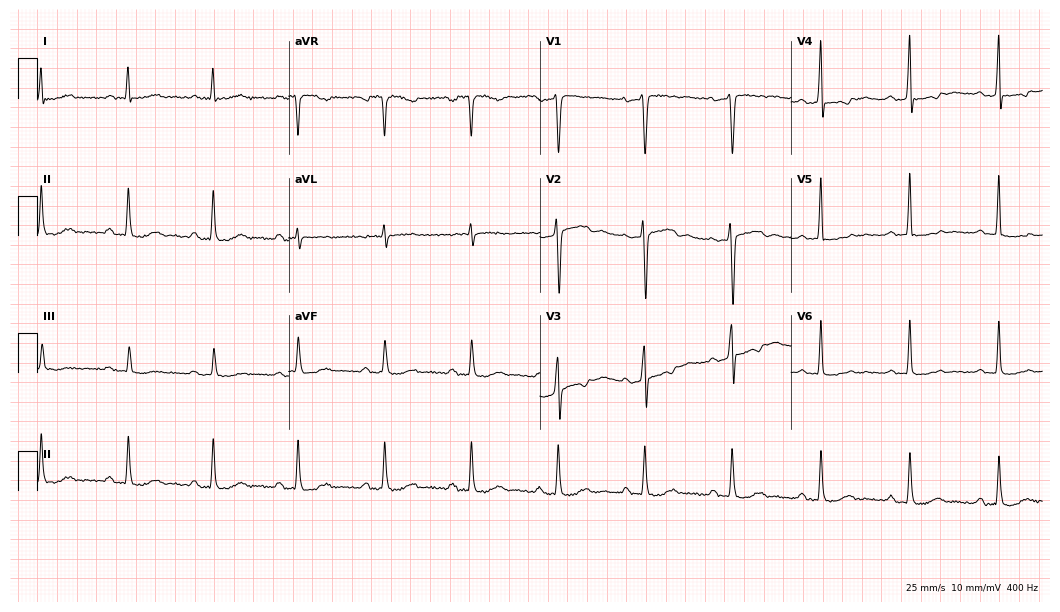
Standard 12-lead ECG recorded from a male, 58 years old (10.2-second recording at 400 Hz). Read as a normal ECG.